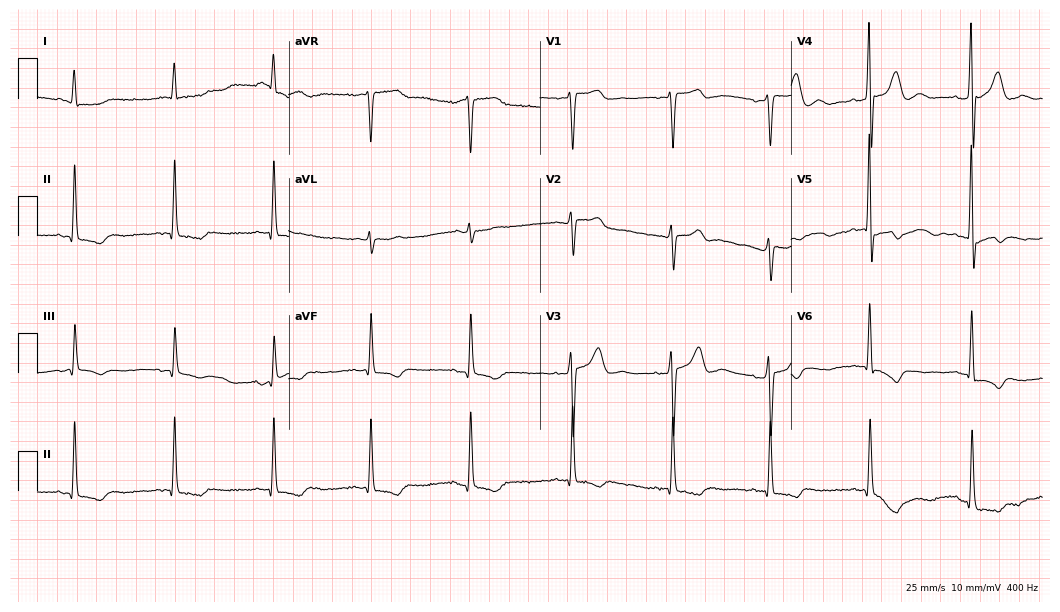
Electrocardiogram (10.2-second recording at 400 Hz), an 84-year-old male patient. Of the six screened findings (first-degree AV block, right bundle branch block (RBBB), left bundle branch block (LBBB), sinus bradycardia, atrial fibrillation (AF), sinus tachycardia), none is recorded. Other findings, if any, are not listed.